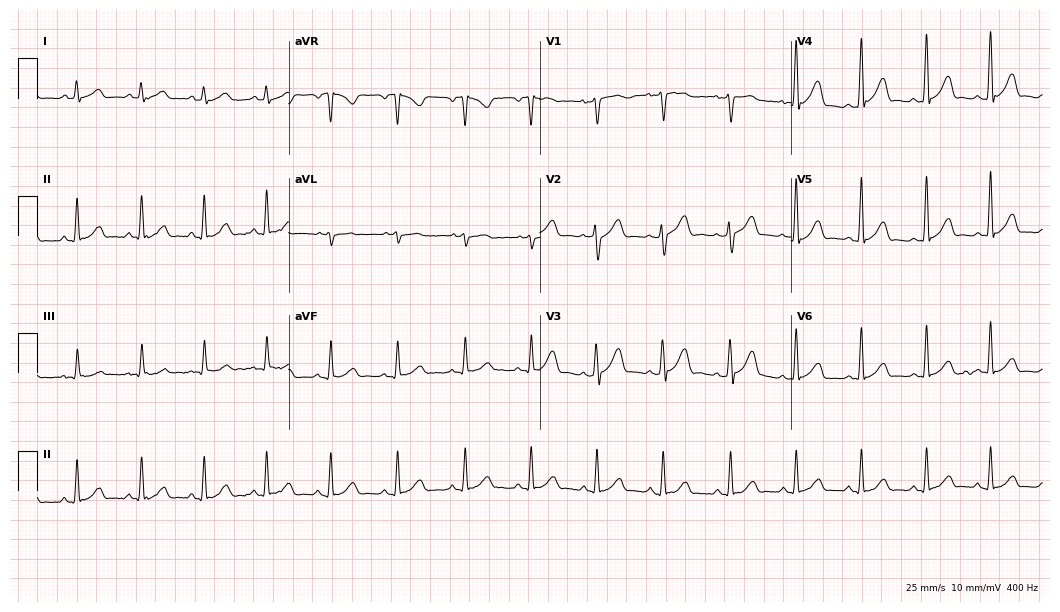
12-lead ECG (10.2-second recording at 400 Hz) from a 34-year-old male. Labelled as a normal ECG.